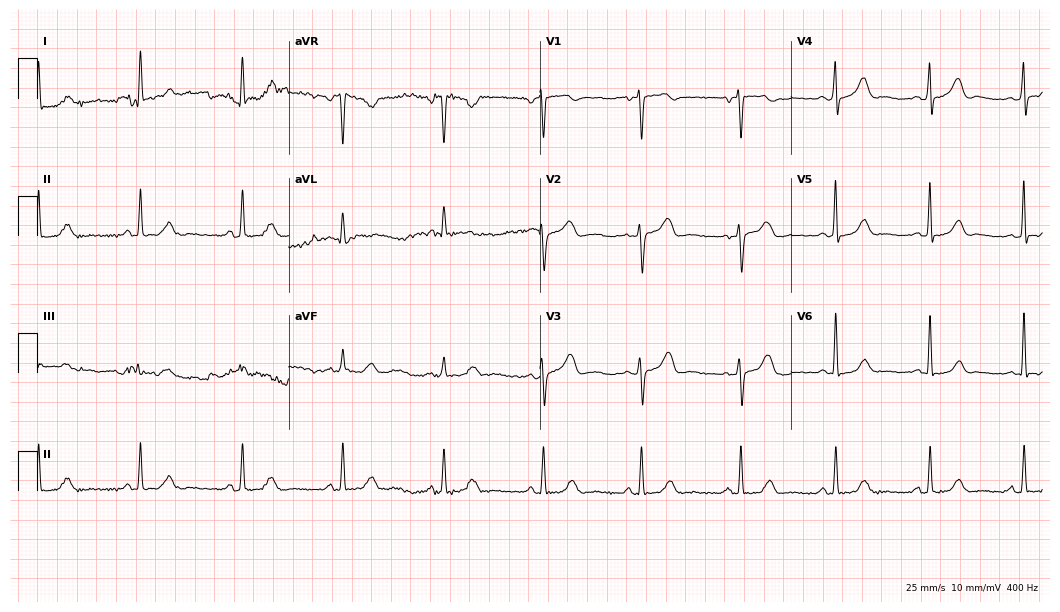
Electrocardiogram (10.2-second recording at 400 Hz), a 50-year-old female. Overall reading on record: normal ECG.